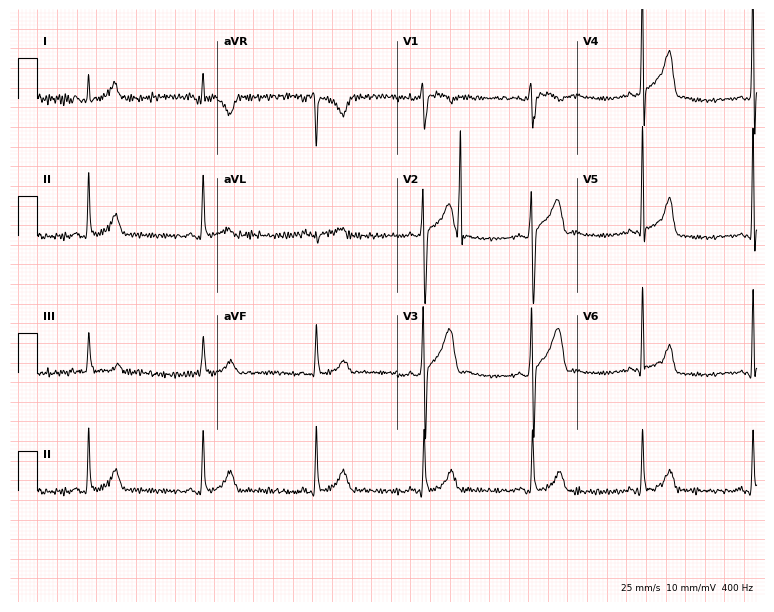
Standard 12-lead ECG recorded from a 23-year-old male patient. None of these six findings is recorded: first-degree AV block, right bundle branch block, left bundle branch block, sinus bradycardia, atrial fibrillation, sinus tachycardia.